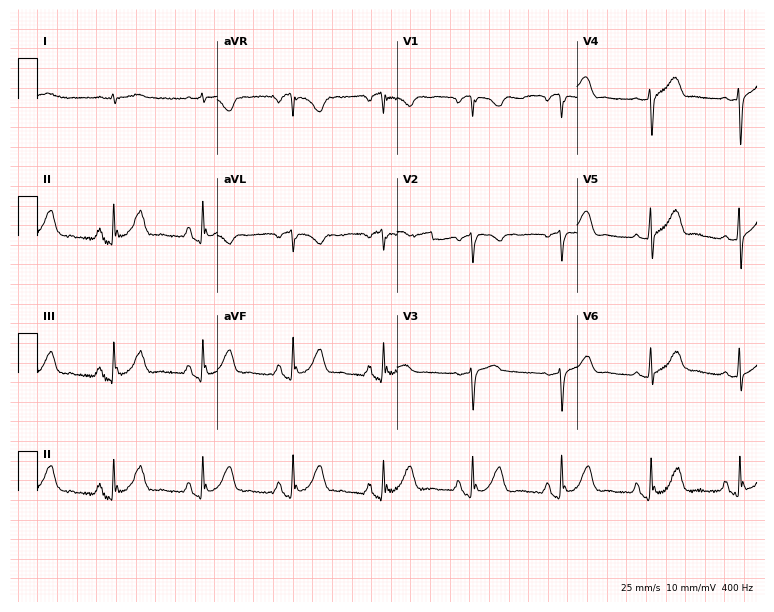
12-lead ECG from a male, 73 years old. Screened for six findings — first-degree AV block, right bundle branch block, left bundle branch block, sinus bradycardia, atrial fibrillation, sinus tachycardia — none is recorded.